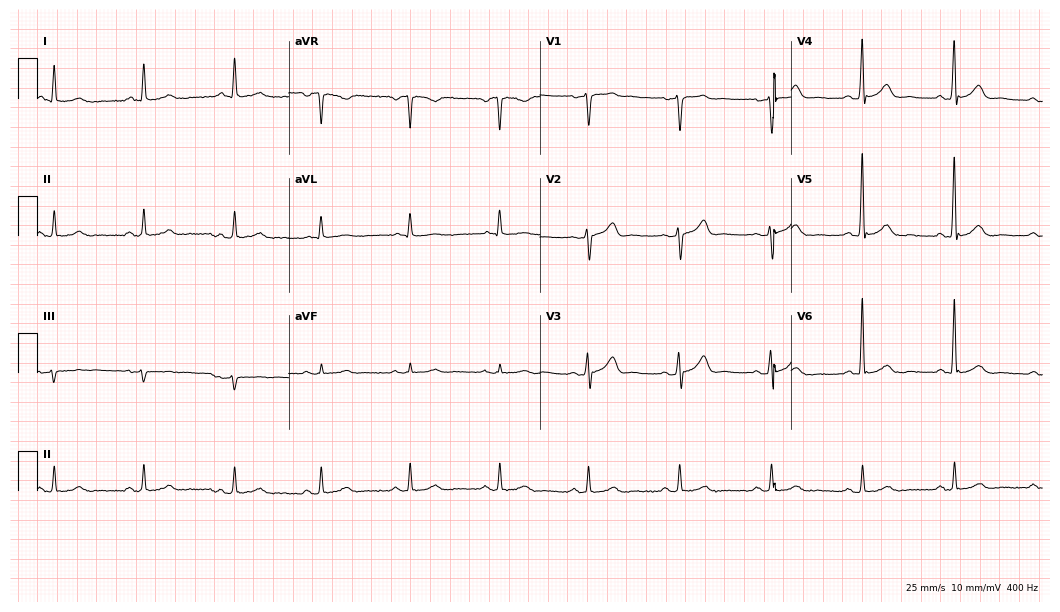
Standard 12-lead ECG recorded from a 61-year-old man. None of these six findings is recorded: first-degree AV block, right bundle branch block (RBBB), left bundle branch block (LBBB), sinus bradycardia, atrial fibrillation (AF), sinus tachycardia.